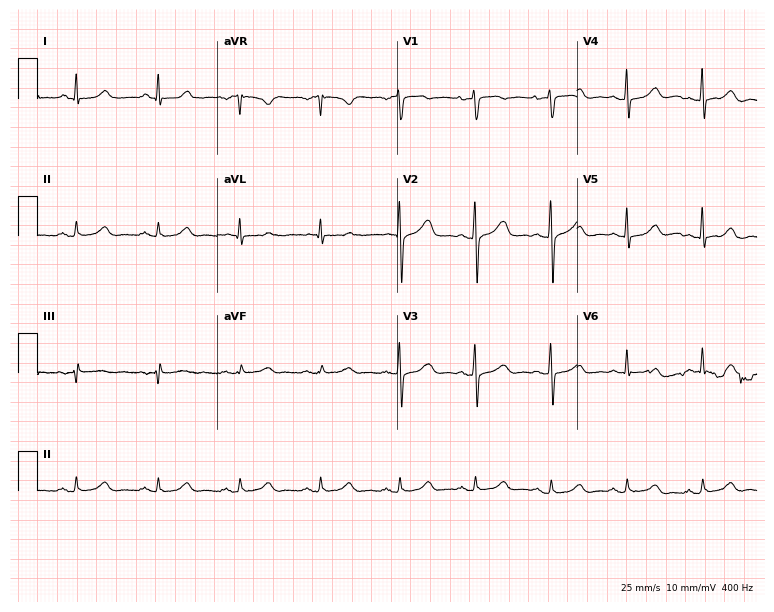
12-lead ECG from a 50-year-old woman (7.3-second recording at 400 Hz). No first-degree AV block, right bundle branch block, left bundle branch block, sinus bradycardia, atrial fibrillation or sinus tachycardia recorded for this tracing.